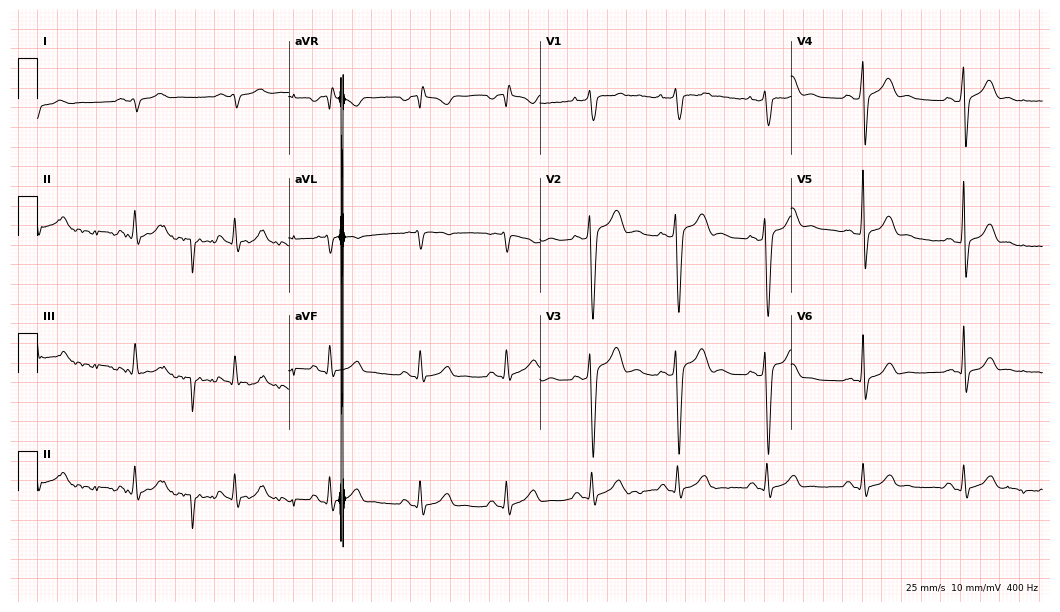
12-lead ECG from a 31-year-old woman. Screened for six findings — first-degree AV block, right bundle branch block, left bundle branch block, sinus bradycardia, atrial fibrillation, sinus tachycardia — none is recorded. Only these six findings were labelled.